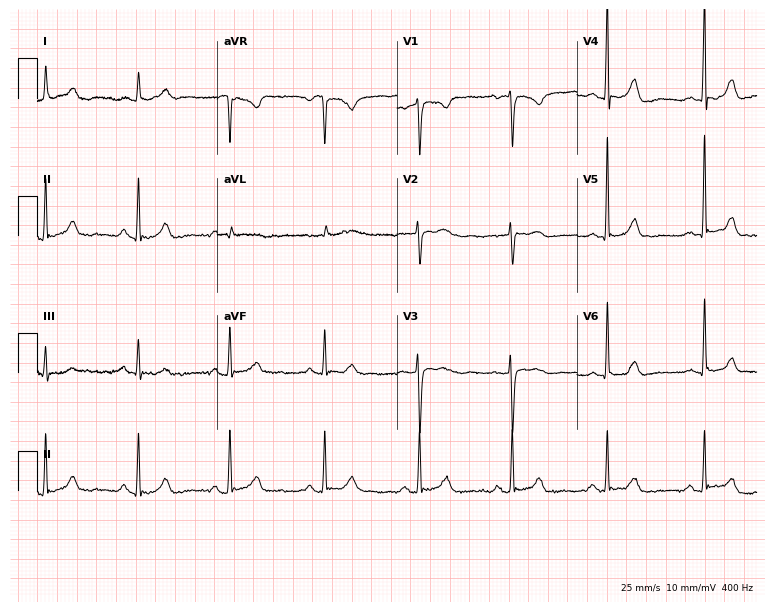
12-lead ECG (7.3-second recording at 400 Hz) from a female, 58 years old. Screened for six findings — first-degree AV block, right bundle branch block, left bundle branch block, sinus bradycardia, atrial fibrillation, sinus tachycardia — none is recorded.